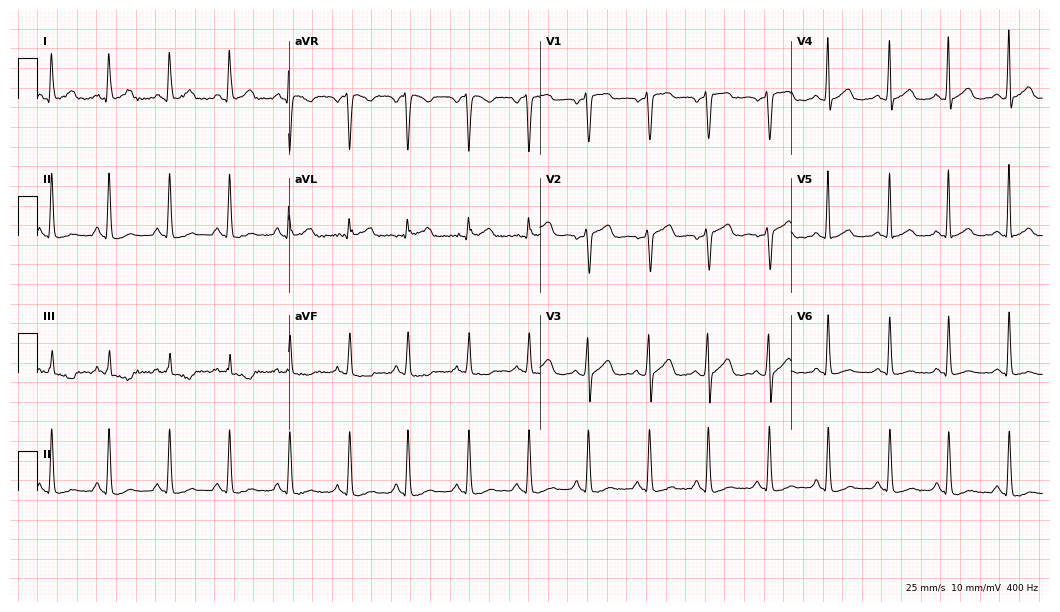
Resting 12-lead electrocardiogram. Patient: a woman, 42 years old. None of these six findings is recorded: first-degree AV block, right bundle branch block, left bundle branch block, sinus bradycardia, atrial fibrillation, sinus tachycardia. Other findings, if any, are not listed.